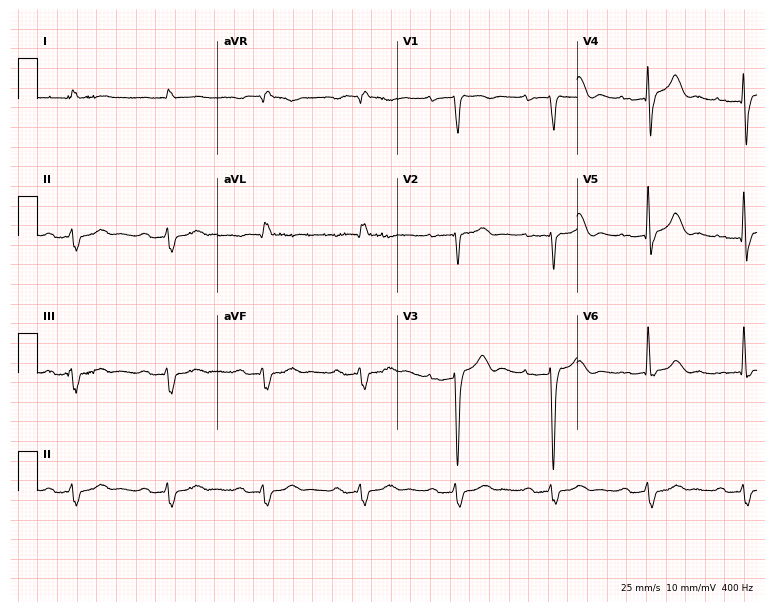
Standard 12-lead ECG recorded from an 84-year-old male (7.3-second recording at 400 Hz). The tracing shows first-degree AV block.